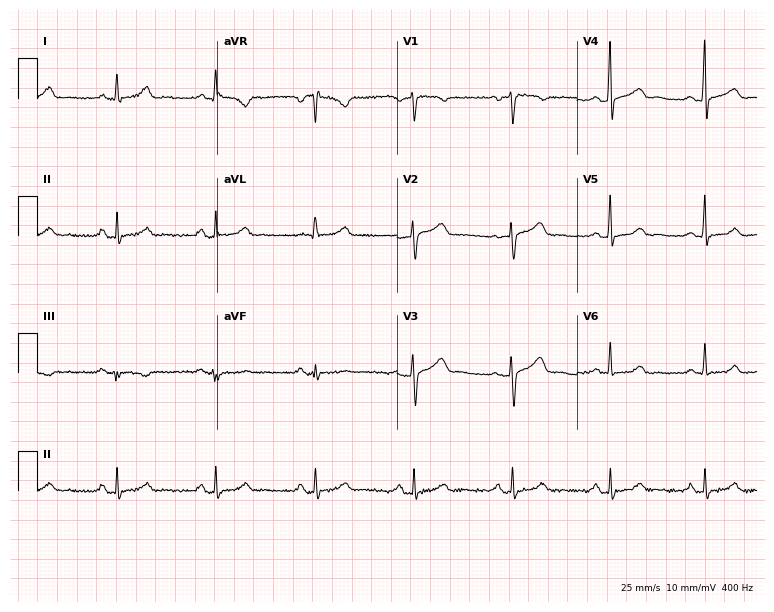
Resting 12-lead electrocardiogram. Patient: a 52-year-old female. Read as a normal ECG.